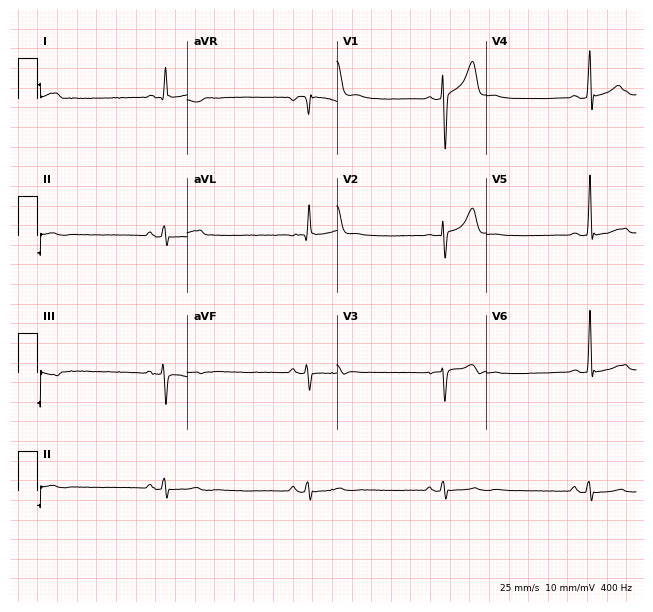
Standard 12-lead ECG recorded from a male, 37 years old (6.1-second recording at 400 Hz). The tracing shows sinus bradycardia (a sinus rate of 50 beats per minute or less).